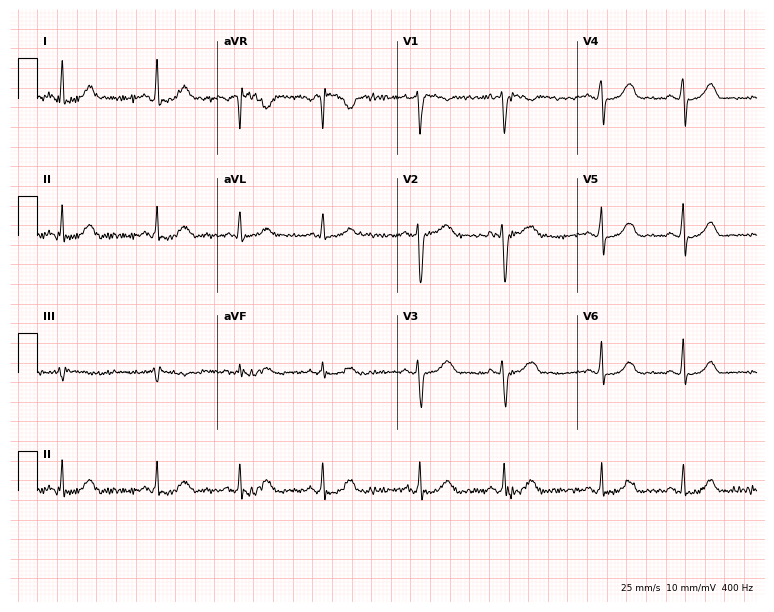
12-lead ECG from a female patient, 40 years old (7.3-second recording at 400 Hz). Recorded interpretation: within normal limits.